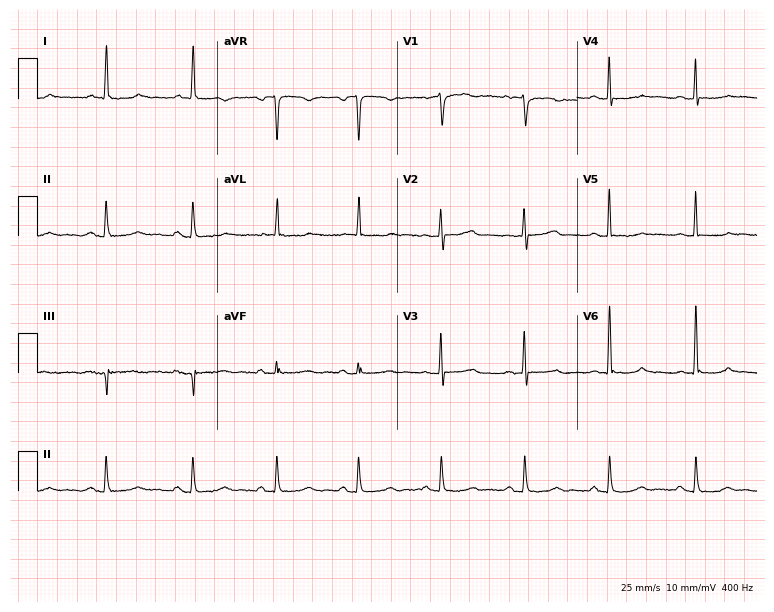
Electrocardiogram (7.3-second recording at 400 Hz), a 79-year-old woman. Of the six screened findings (first-degree AV block, right bundle branch block, left bundle branch block, sinus bradycardia, atrial fibrillation, sinus tachycardia), none is recorded. Other findings, if any, are not listed.